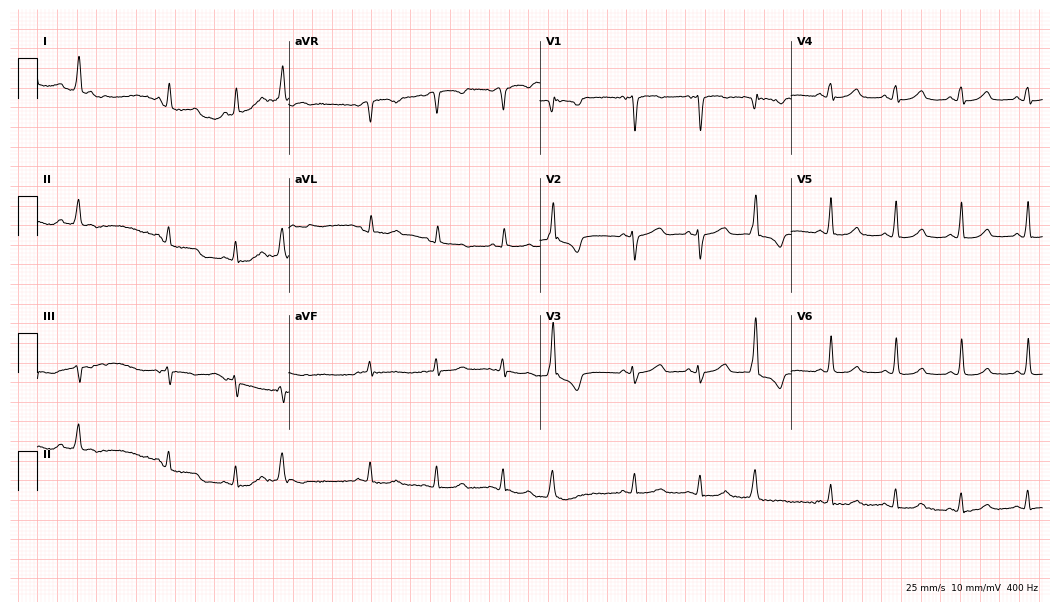
ECG (10.2-second recording at 400 Hz) — a 69-year-old woman. Screened for six findings — first-degree AV block, right bundle branch block, left bundle branch block, sinus bradycardia, atrial fibrillation, sinus tachycardia — none is recorded. Findings outside these six are not listed.